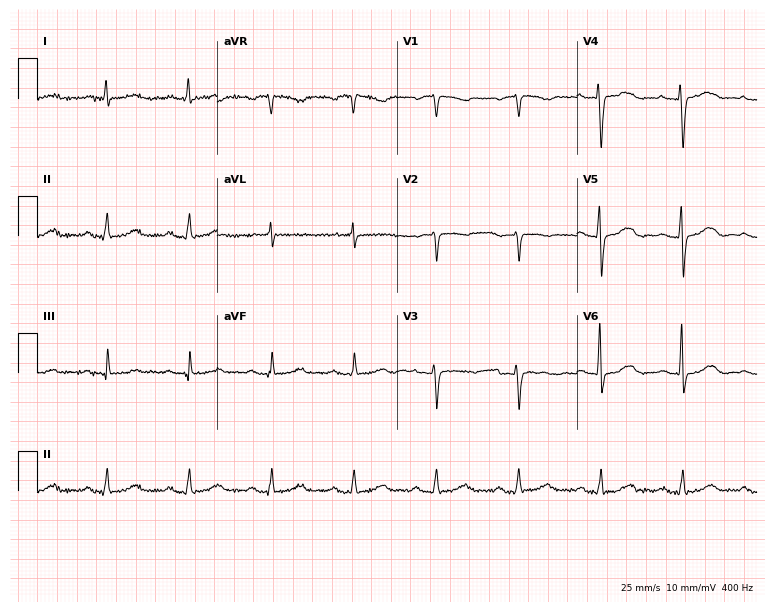
Electrocardiogram (7.3-second recording at 400 Hz), a 76-year-old female patient. Of the six screened findings (first-degree AV block, right bundle branch block, left bundle branch block, sinus bradycardia, atrial fibrillation, sinus tachycardia), none is recorded. Other findings, if any, are not listed.